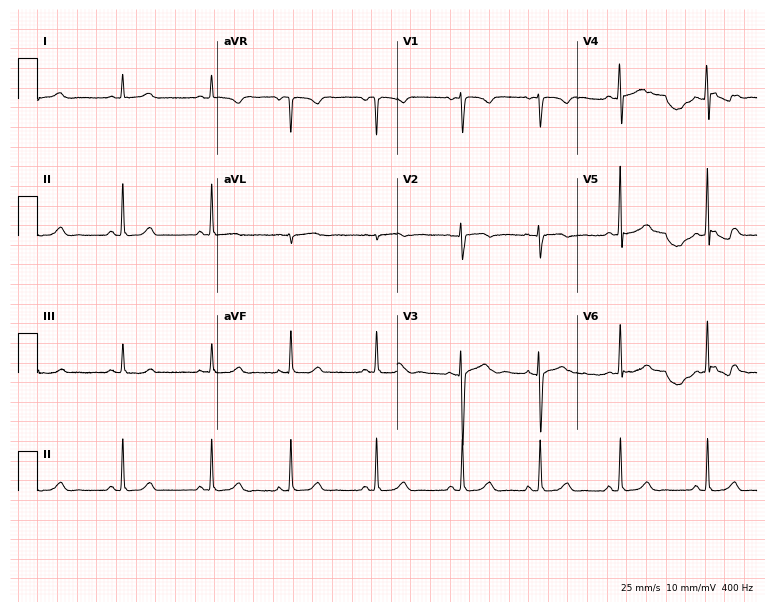
12-lead ECG from a 17-year-old woman. No first-degree AV block, right bundle branch block (RBBB), left bundle branch block (LBBB), sinus bradycardia, atrial fibrillation (AF) or sinus tachycardia recorded for this tracing.